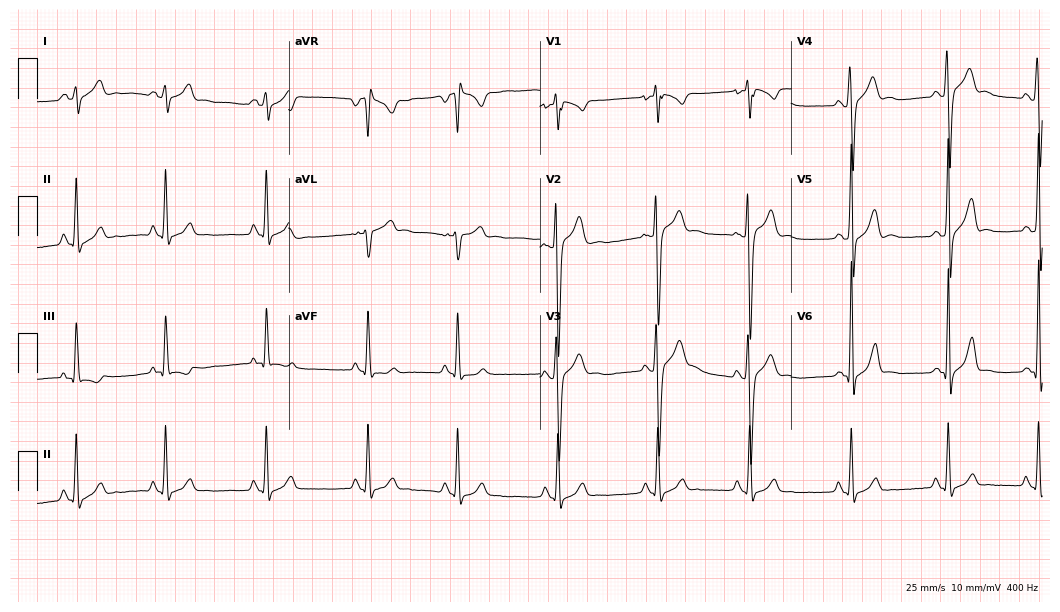
12-lead ECG from a male, 18 years old. No first-degree AV block, right bundle branch block, left bundle branch block, sinus bradycardia, atrial fibrillation or sinus tachycardia recorded for this tracing.